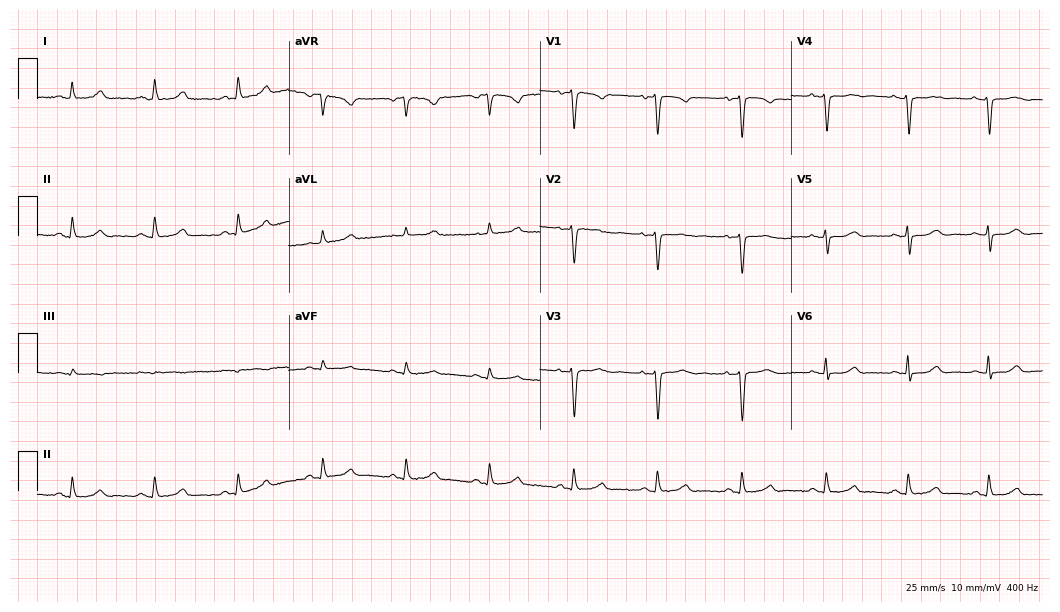
12-lead ECG from a 42-year-old female (10.2-second recording at 400 Hz). Recorded interpretation: within normal limits.